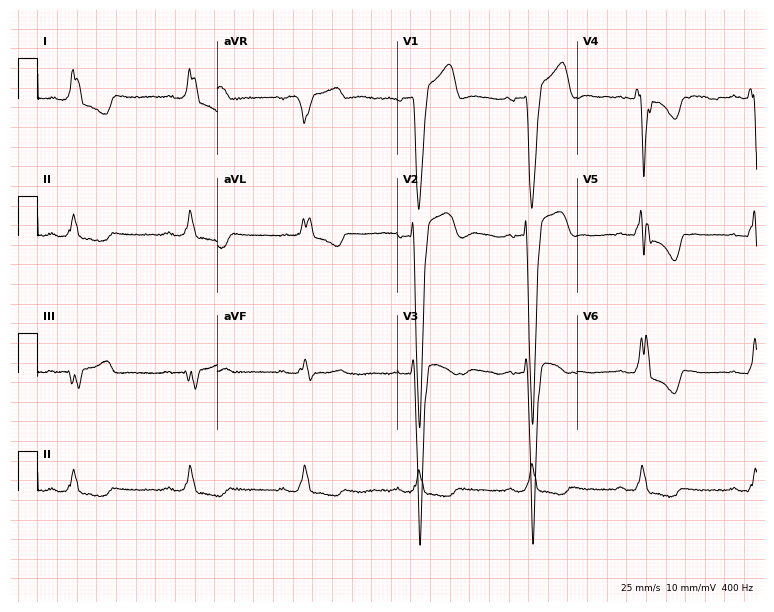
12-lead ECG from a 76-year-old male patient. Shows left bundle branch block.